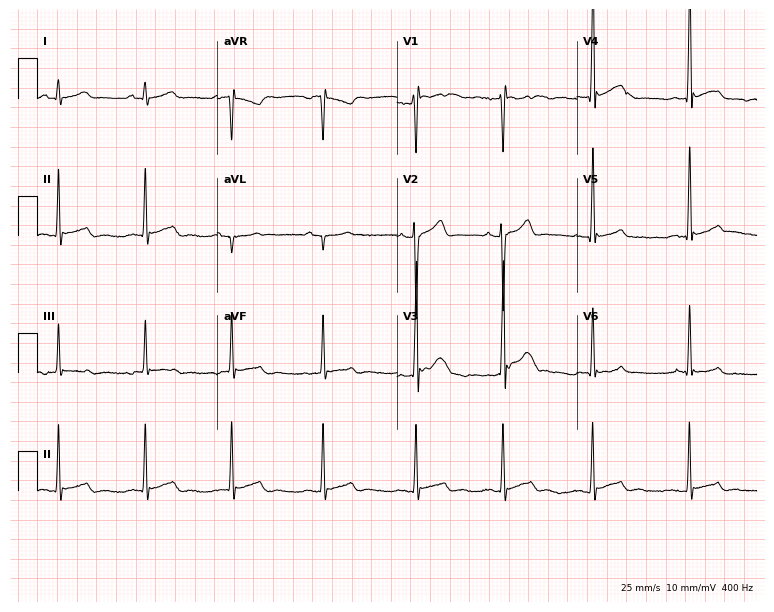
Electrocardiogram (7.3-second recording at 400 Hz), a 19-year-old male. Overall reading on record: normal ECG.